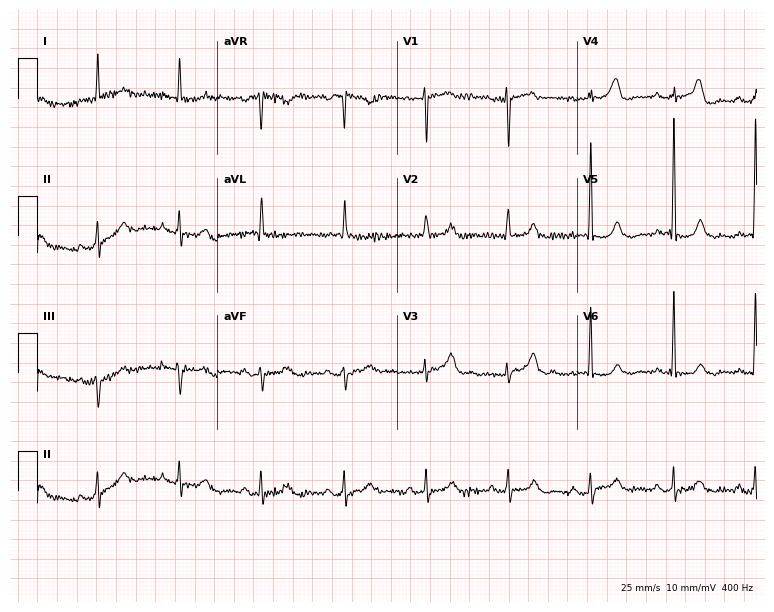
Resting 12-lead electrocardiogram. Patient: an 85-year-old female. None of these six findings is recorded: first-degree AV block, right bundle branch block, left bundle branch block, sinus bradycardia, atrial fibrillation, sinus tachycardia.